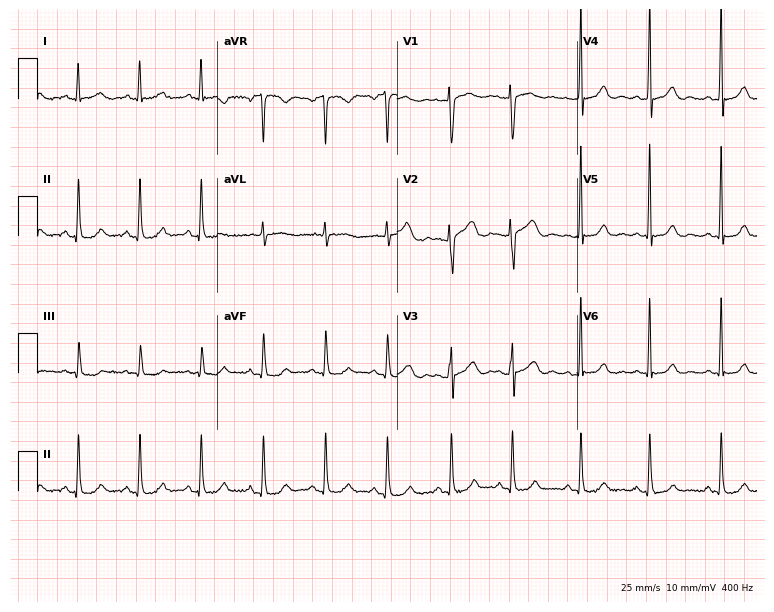
Electrocardiogram (7.3-second recording at 400 Hz), a woman, 36 years old. Overall reading on record: normal ECG.